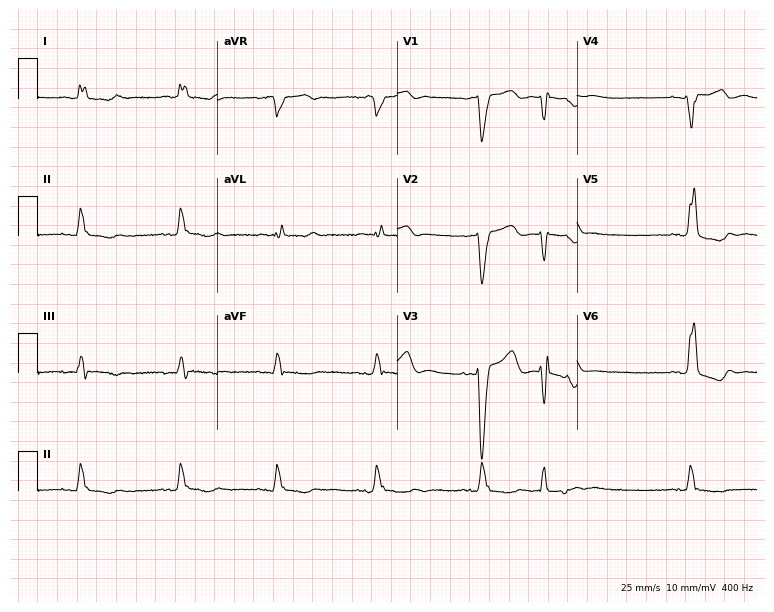
Resting 12-lead electrocardiogram. Patient: a woman, 68 years old. The tracing shows left bundle branch block (LBBB).